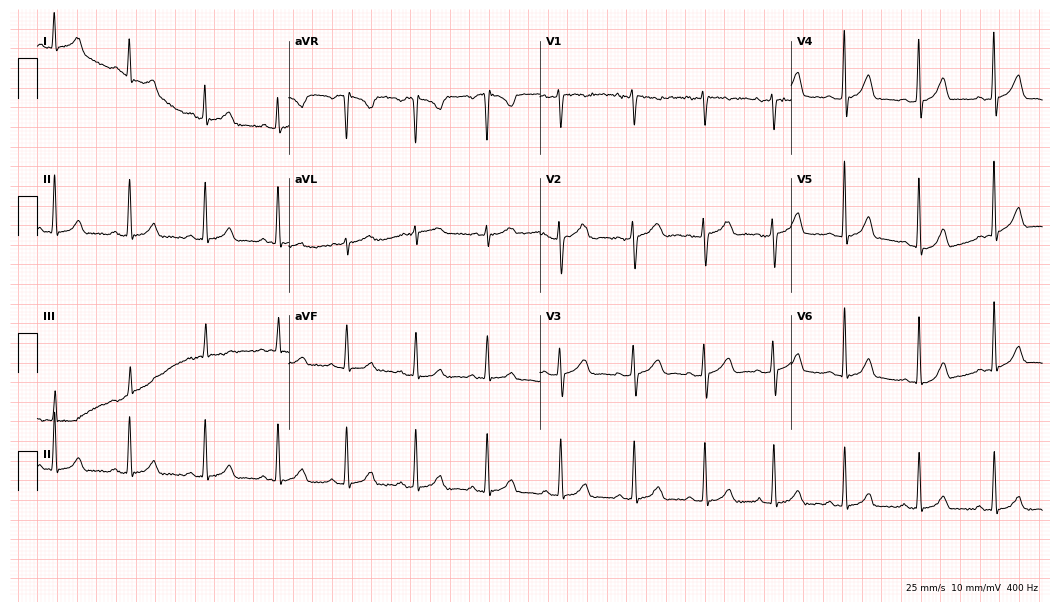
Standard 12-lead ECG recorded from a 19-year-old female patient. Read as a normal ECG.